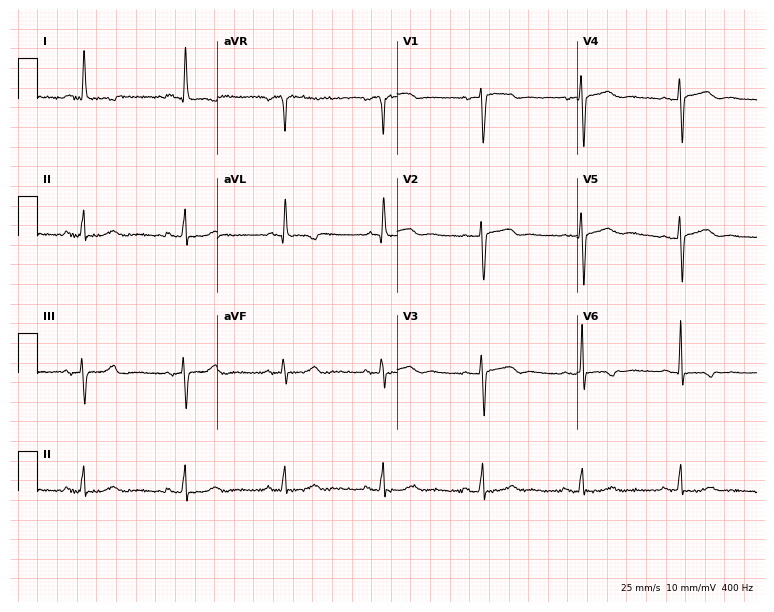
Standard 12-lead ECG recorded from a 77-year-old woman. None of these six findings is recorded: first-degree AV block, right bundle branch block, left bundle branch block, sinus bradycardia, atrial fibrillation, sinus tachycardia. Only these six findings were labelled.